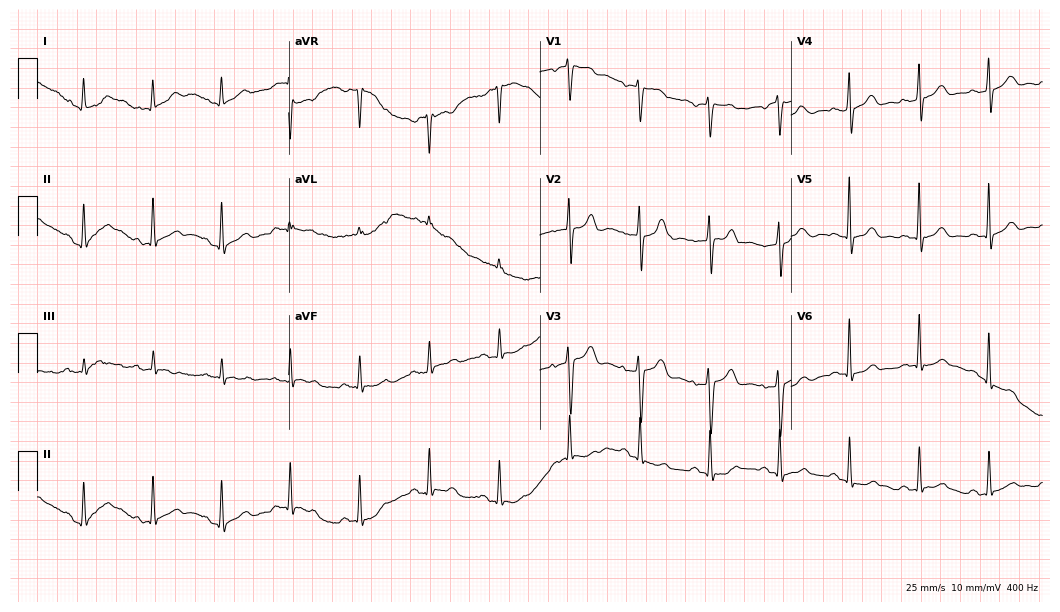
12-lead ECG from a female, 85 years old. Labelled as a normal ECG.